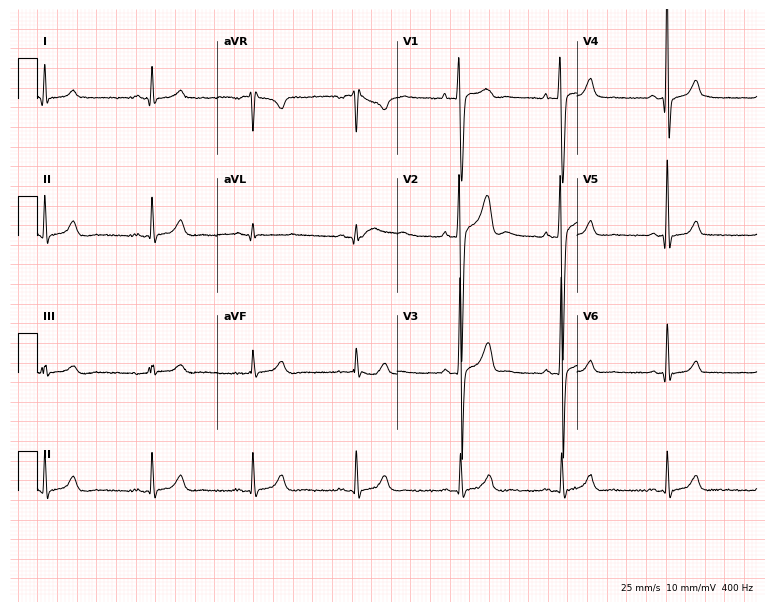
ECG (7.3-second recording at 400 Hz) — a 21-year-old male. Labelled as a normal ECG.